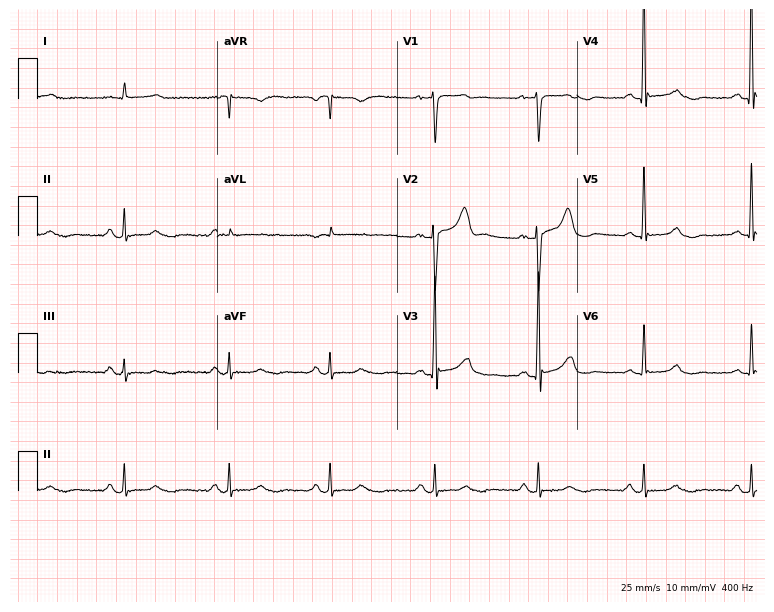
ECG — a 68-year-old man. Screened for six findings — first-degree AV block, right bundle branch block (RBBB), left bundle branch block (LBBB), sinus bradycardia, atrial fibrillation (AF), sinus tachycardia — none is recorded.